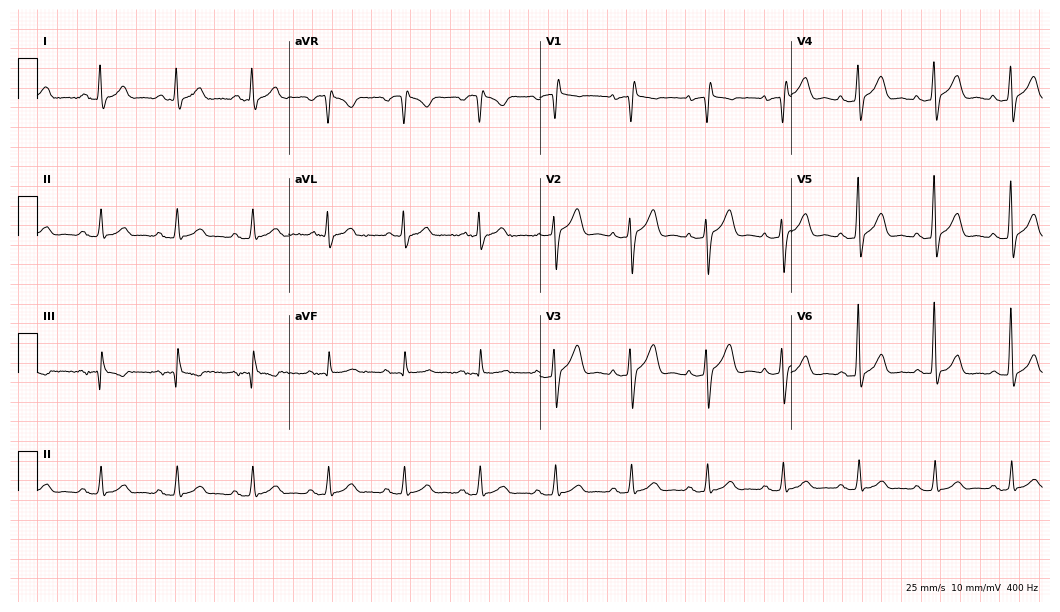
ECG — a male patient, 65 years old. Labelled as a normal ECG.